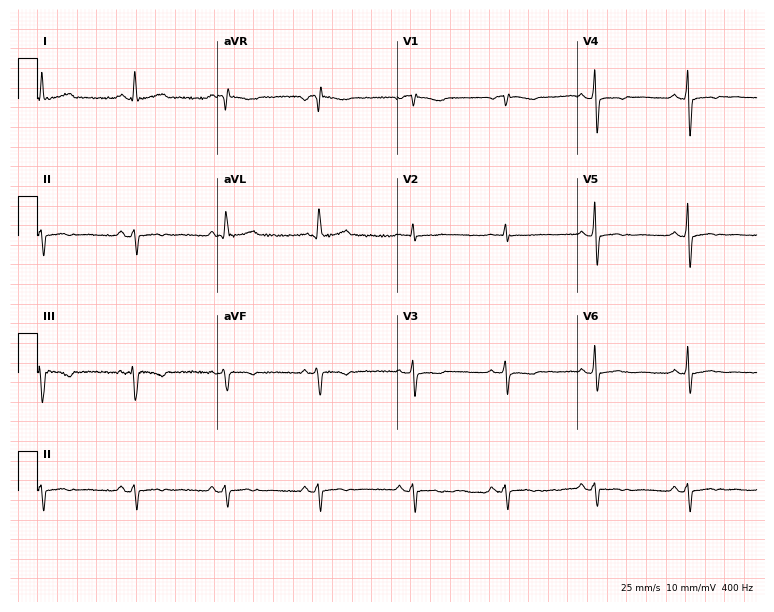
ECG (7.3-second recording at 400 Hz) — a 65-year-old female patient. Screened for six findings — first-degree AV block, right bundle branch block, left bundle branch block, sinus bradycardia, atrial fibrillation, sinus tachycardia — none is recorded.